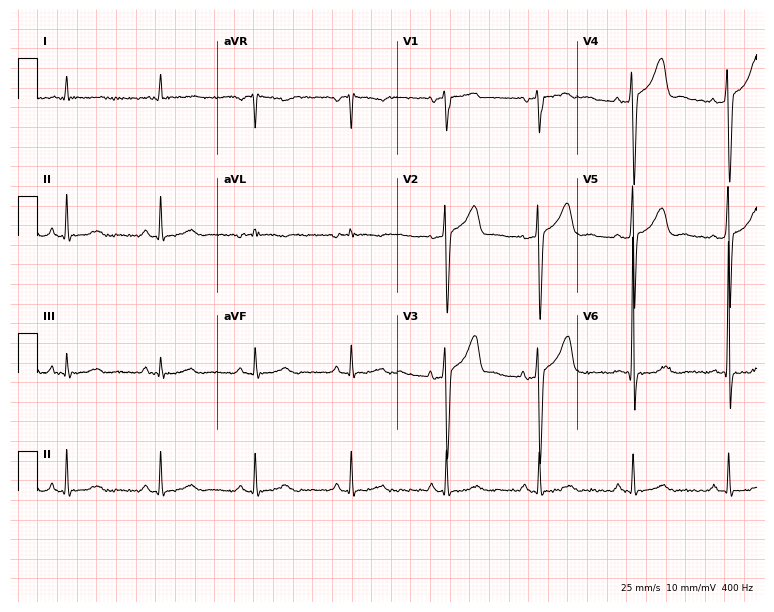
Resting 12-lead electrocardiogram (7.3-second recording at 400 Hz). Patient: a 60-year-old man. None of these six findings is recorded: first-degree AV block, right bundle branch block (RBBB), left bundle branch block (LBBB), sinus bradycardia, atrial fibrillation (AF), sinus tachycardia.